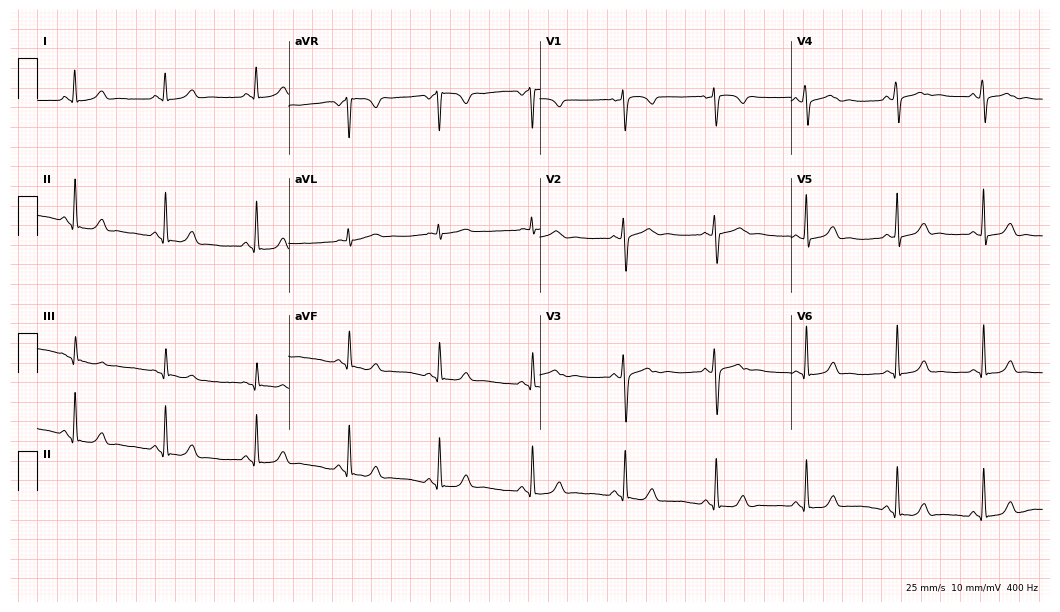
Electrocardiogram, a female, 37 years old. Overall reading on record: normal ECG.